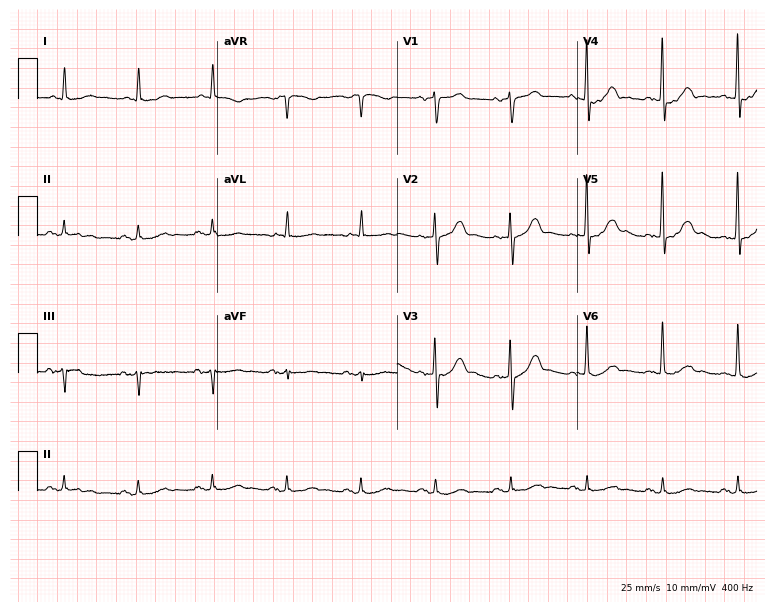
12-lead ECG from a male, 74 years old. No first-degree AV block, right bundle branch block, left bundle branch block, sinus bradycardia, atrial fibrillation or sinus tachycardia recorded for this tracing. Other findings, if any, are not listed.